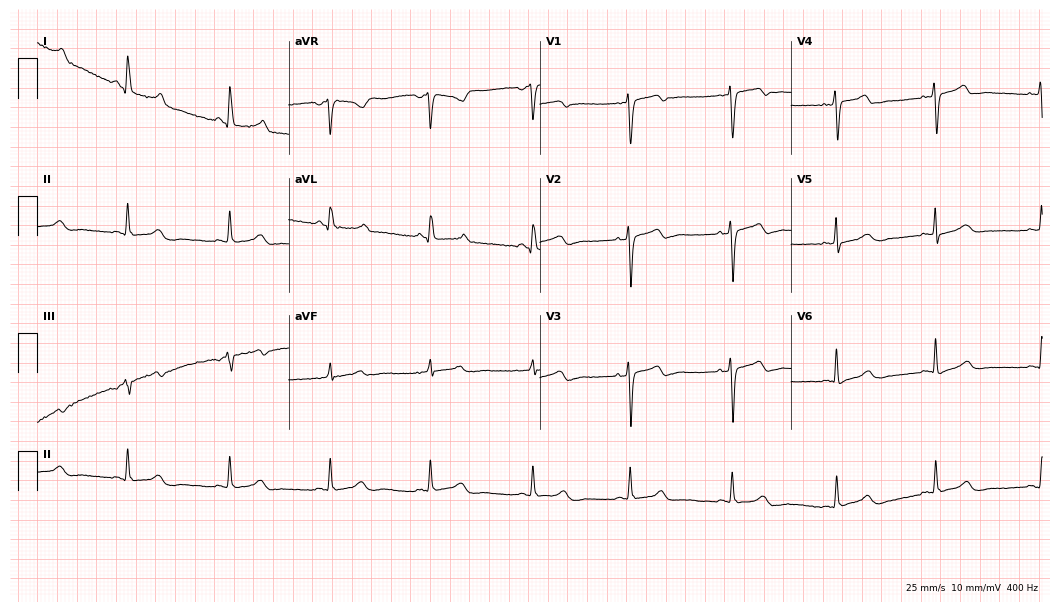
ECG — a woman, 49 years old. Screened for six findings — first-degree AV block, right bundle branch block, left bundle branch block, sinus bradycardia, atrial fibrillation, sinus tachycardia — none is recorded. Only these six findings were labelled.